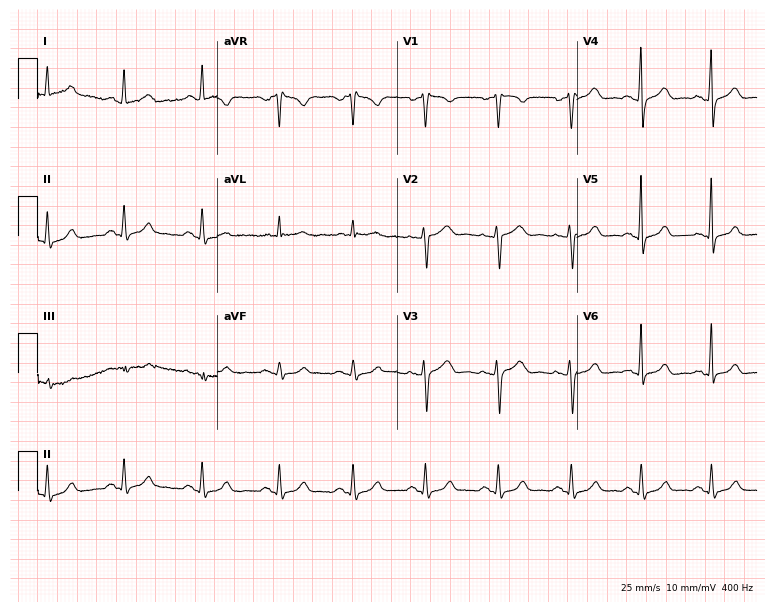
12-lead ECG from a 48-year-old female. Recorded interpretation: within normal limits.